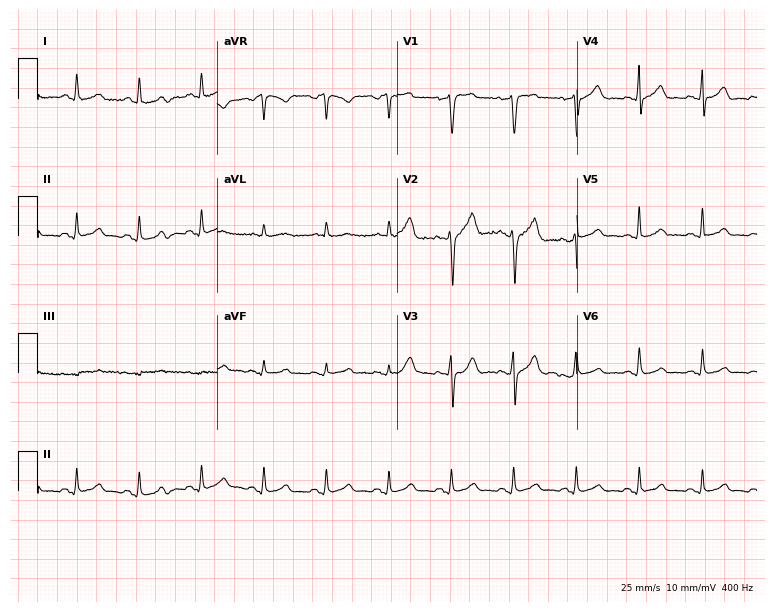
ECG (7.3-second recording at 400 Hz) — a male, 47 years old. Labelled as a normal ECG.